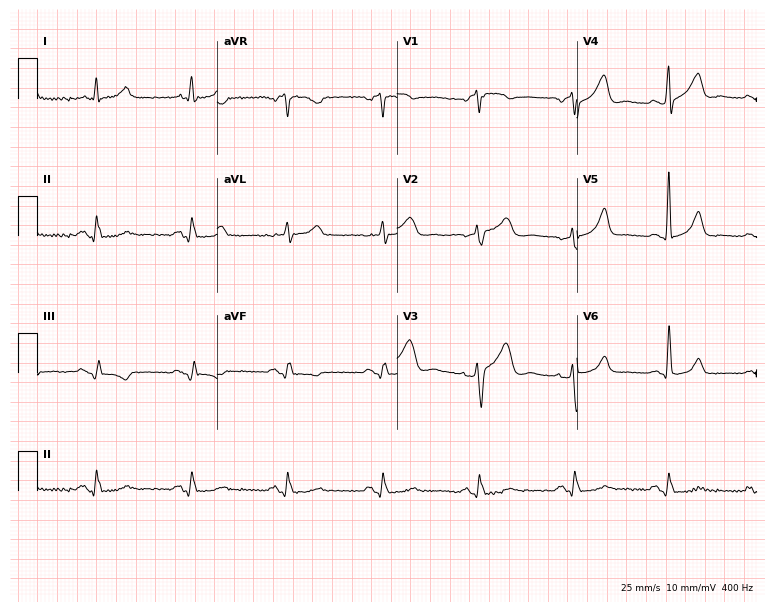
Electrocardiogram, a 53-year-old man. Of the six screened findings (first-degree AV block, right bundle branch block, left bundle branch block, sinus bradycardia, atrial fibrillation, sinus tachycardia), none is recorded. Other findings, if any, are not listed.